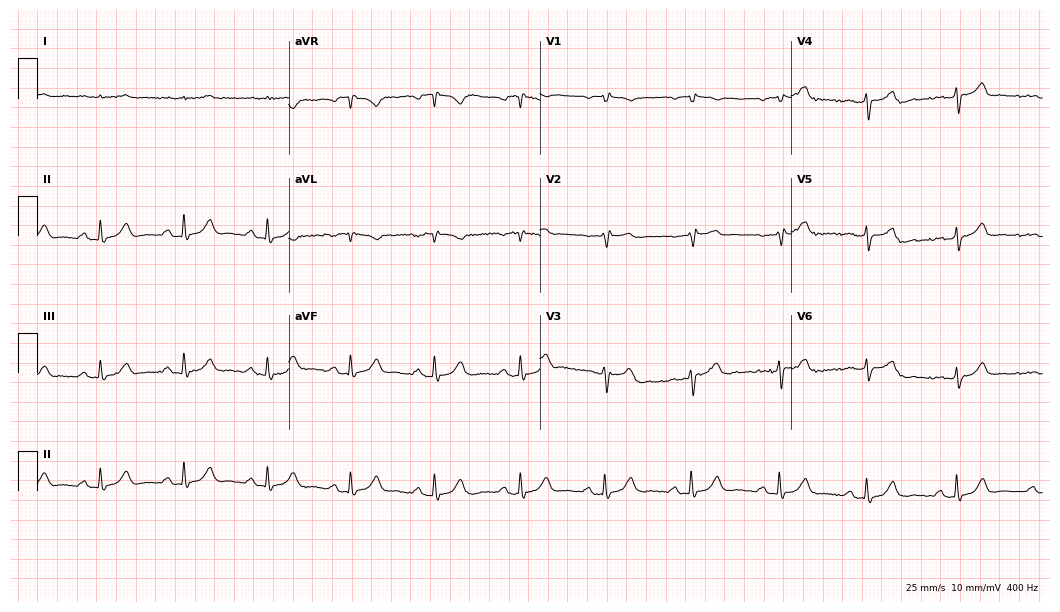
12-lead ECG from an 80-year-old male. No first-degree AV block, right bundle branch block (RBBB), left bundle branch block (LBBB), sinus bradycardia, atrial fibrillation (AF) or sinus tachycardia recorded for this tracing.